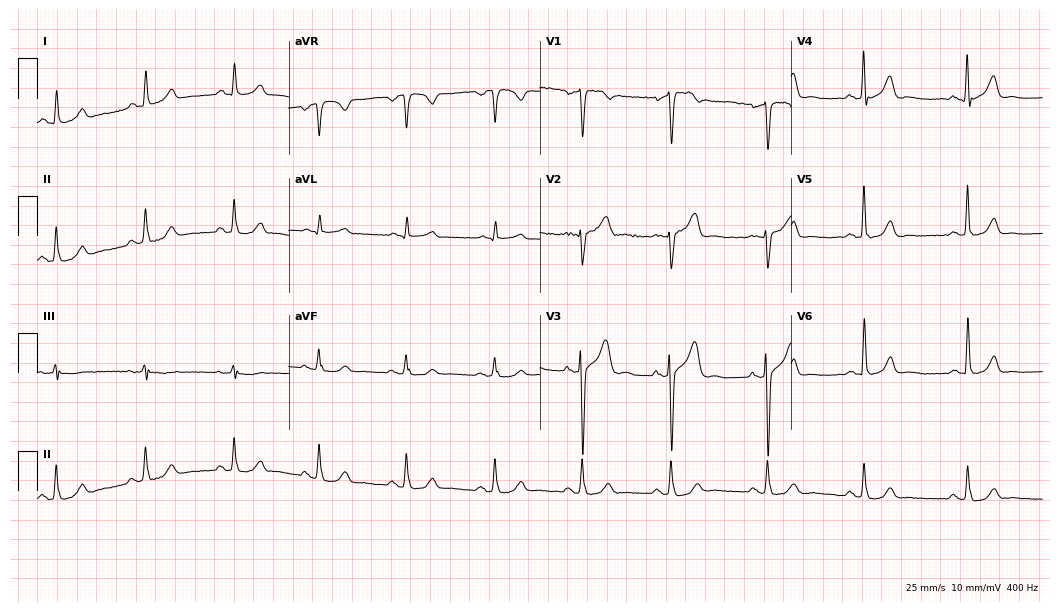
Resting 12-lead electrocardiogram (10.2-second recording at 400 Hz). Patient: a male, 56 years old. Read as a normal ECG.